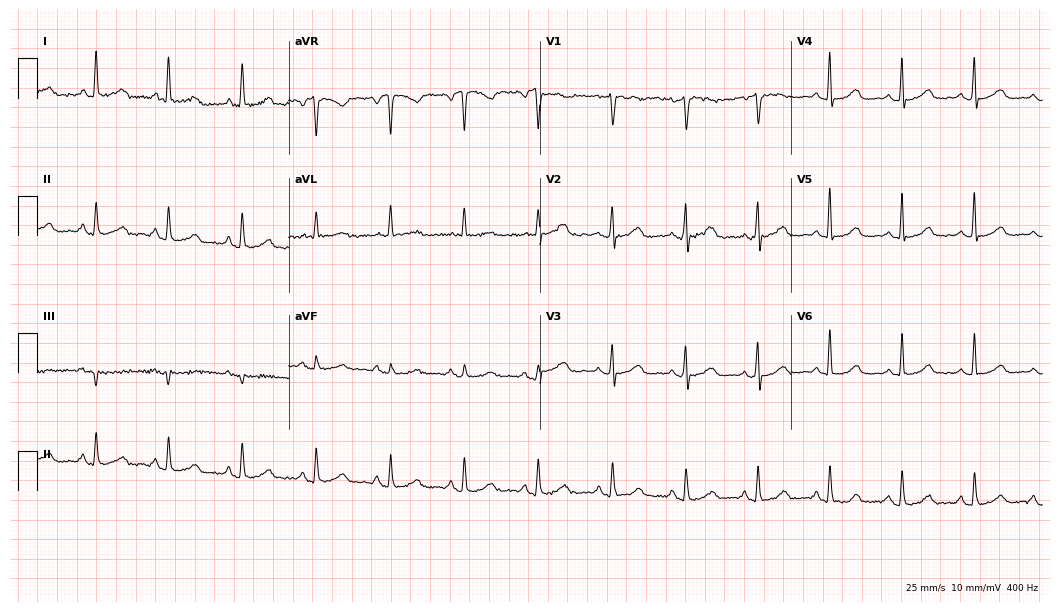
12-lead ECG from a 66-year-old female patient. Recorded interpretation: within normal limits.